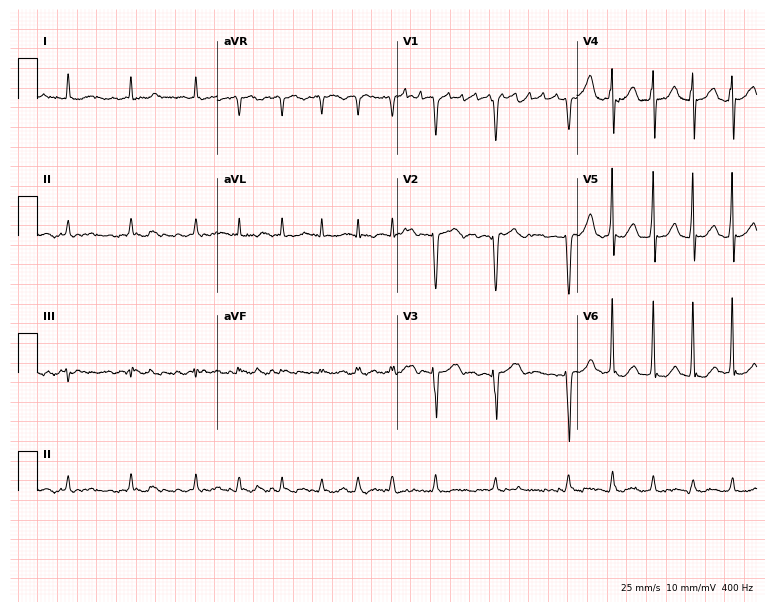
12-lead ECG (7.3-second recording at 400 Hz) from a male, 90 years old or older. Findings include atrial fibrillation.